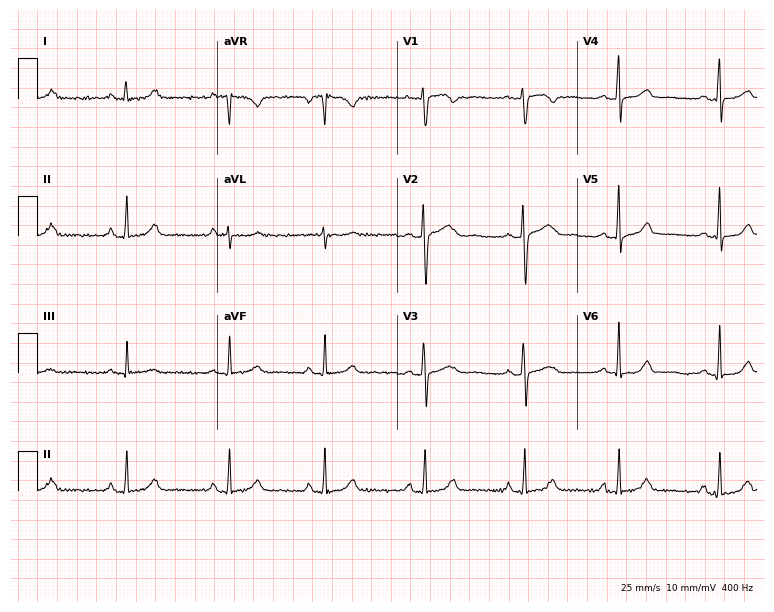
Electrocardiogram, a woman, 46 years old. Overall reading on record: normal ECG.